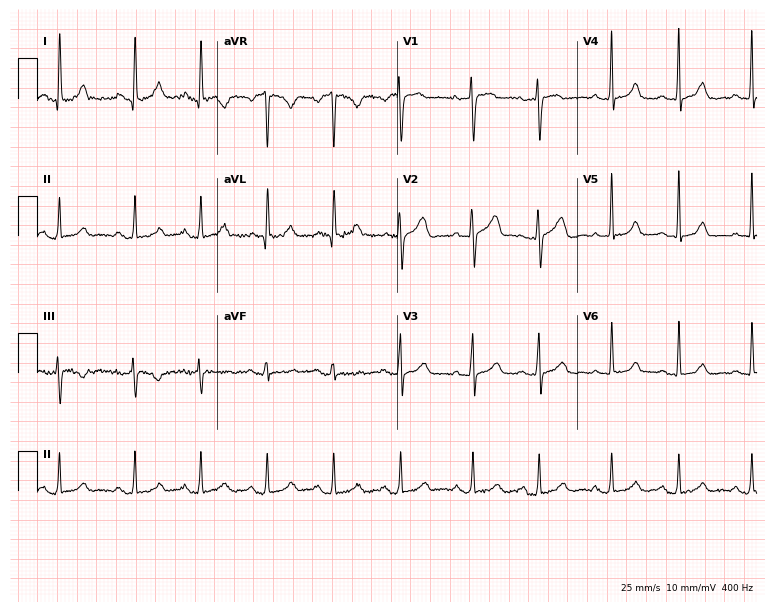
12-lead ECG (7.3-second recording at 400 Hz) from a woman, 37 years old. Screened for six findings — first-degree AV block, right bundle branch block, left bundle branch block, sinus bradycardia, atrial fibrillation, sinus tachycardia — none is recorded. Other findings, if any, are not listed.